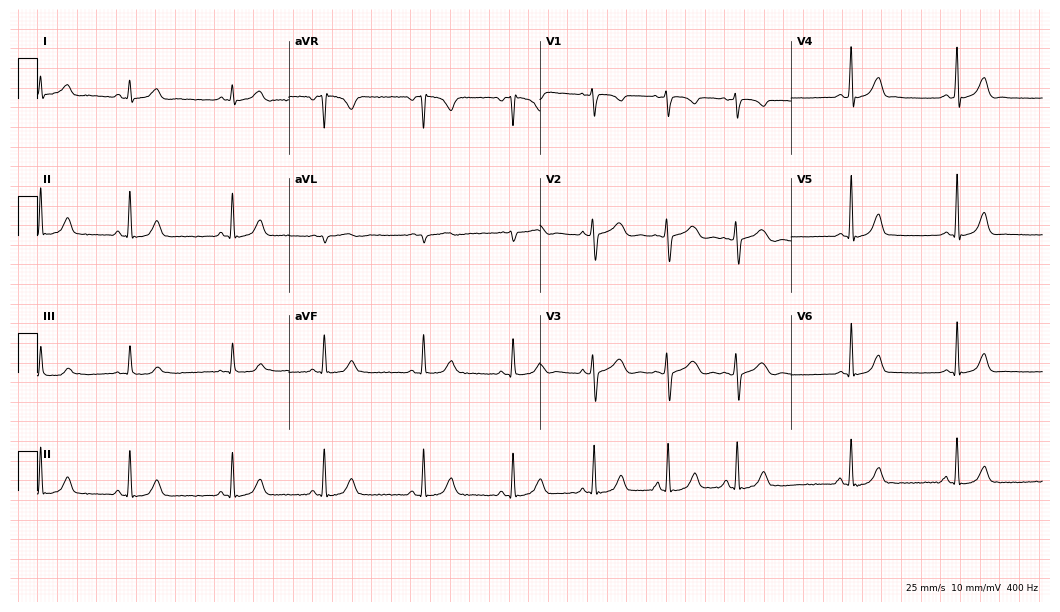
ECG (10.2-second recording at 400 Hz) — a 21-year-old female patient. Screened for six findings — first-degree AV block, right bundle branch block, left bundle branch block, sinus bradycardia, atrial fibrillation, sinus tachycardia — none is recorded. Other findings, if any, are not listed.